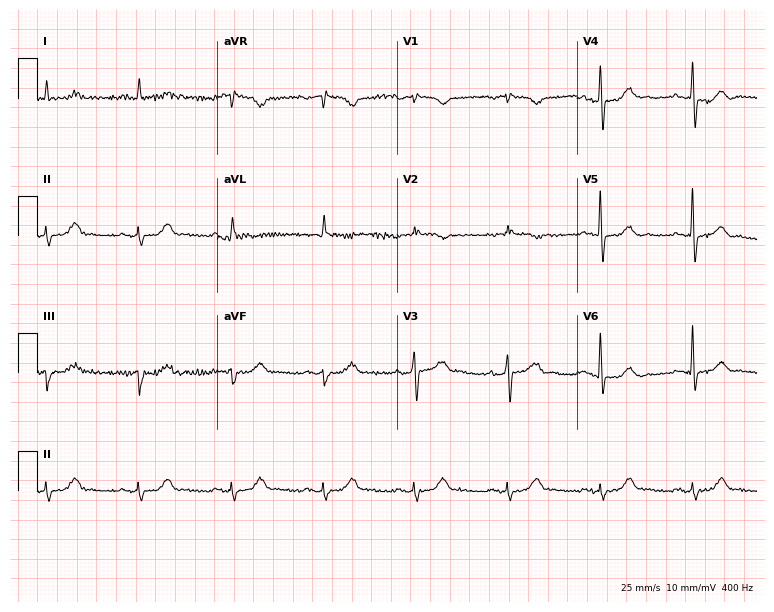
12-lead ECG (7.3-second recording at 400 Hz) from a 67-year-old male patient. Screened for six findings — first-degree AV block, right bundle branch block, left bundle branch block, sinus bradycardia, atrial fibrillation, sinus tachycardia — none is recorded. Only these six findings were labelled.